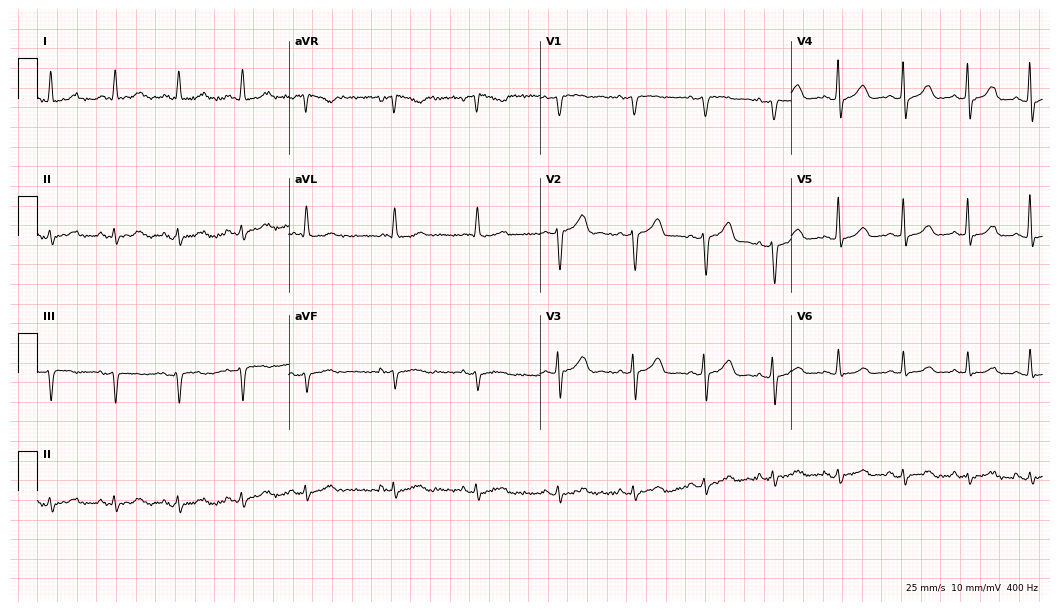
Standard 12-lead ECG recorded from a woman, 72 years old. None of these six findings is recorded: first-degree AV block, right bundle branch block (RBBB), left bundle branch block (LBBB), sinus bradycardia, atrial fibrillation (AF), sinus tachycardia.